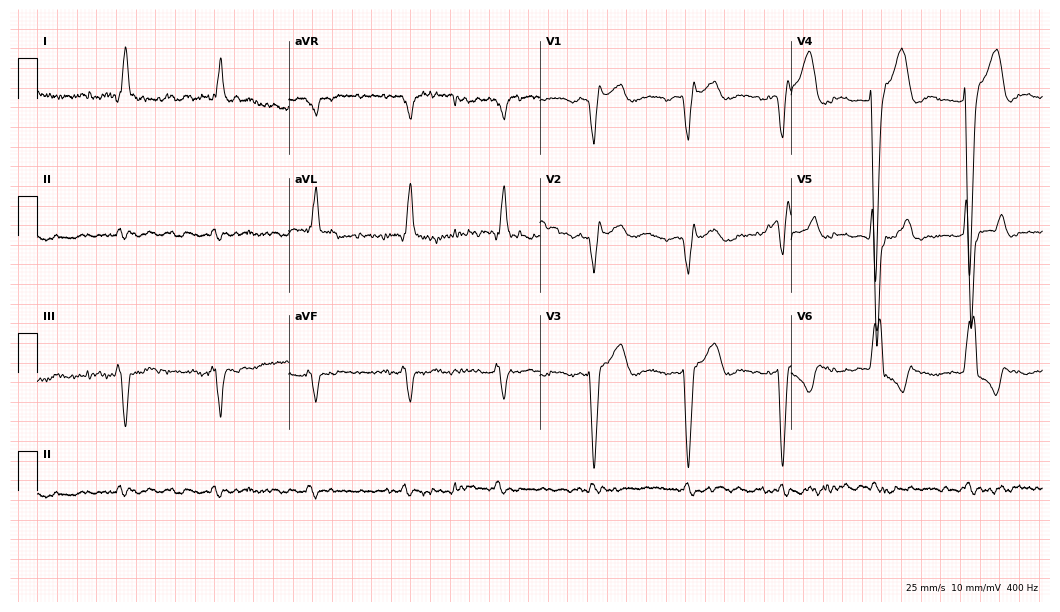
Standard 12-lead ECG recorded from a man, 79 years old (10.2-second recording at 400 Hz). The tracing shows first-degree AV block, left bundle branch block (LBBB).